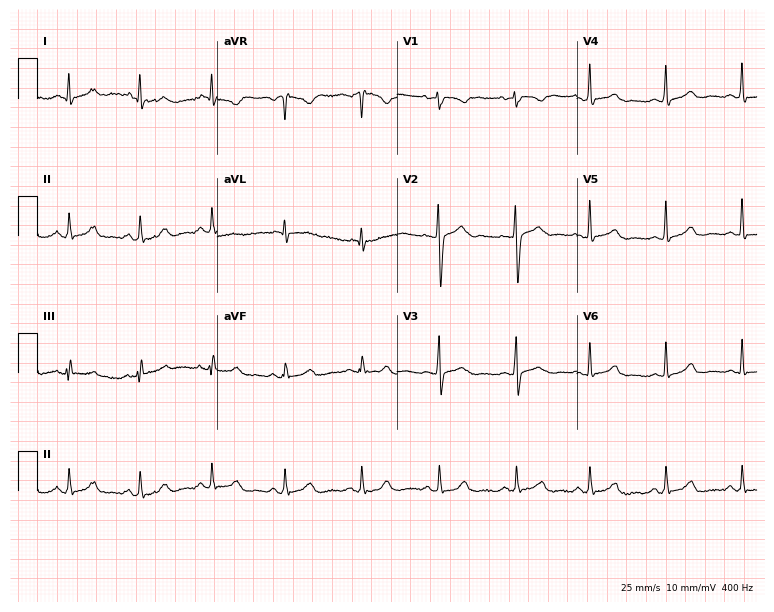
ECG — a female, 36 years old. Screened for six findings — first-degree AV block, right bundle branch block, left bundle branch block, sinus bradycardia, atrial fibrillation, sinus tachycardia — none is recorded.